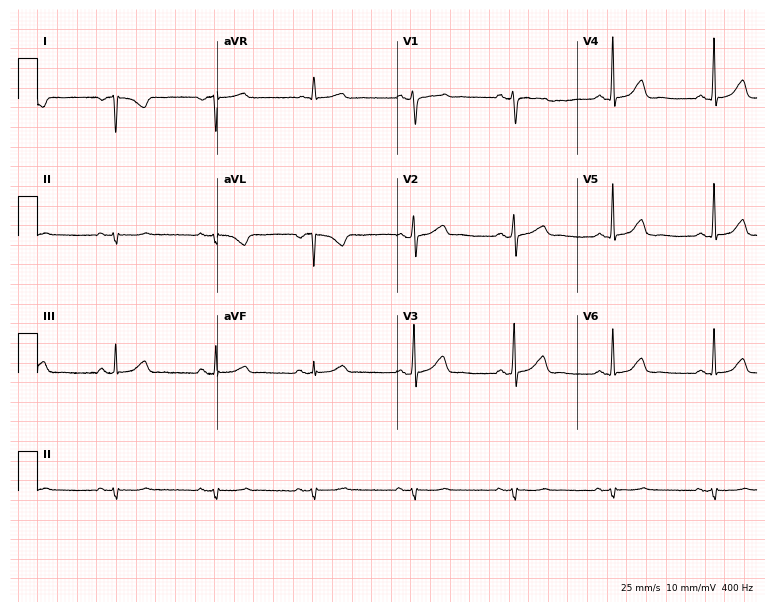
Resting 12-lead electrocardiogram. Patient: a 42-year-old woman. None of these six findings is recorded: first-degree AV block, right bundle branch block (RBBB), left bundle branch block (LBBB), sinus bradycardia, atrial fibrillation (AF), sinus tachycardia. Other findings, if any, are not listed.